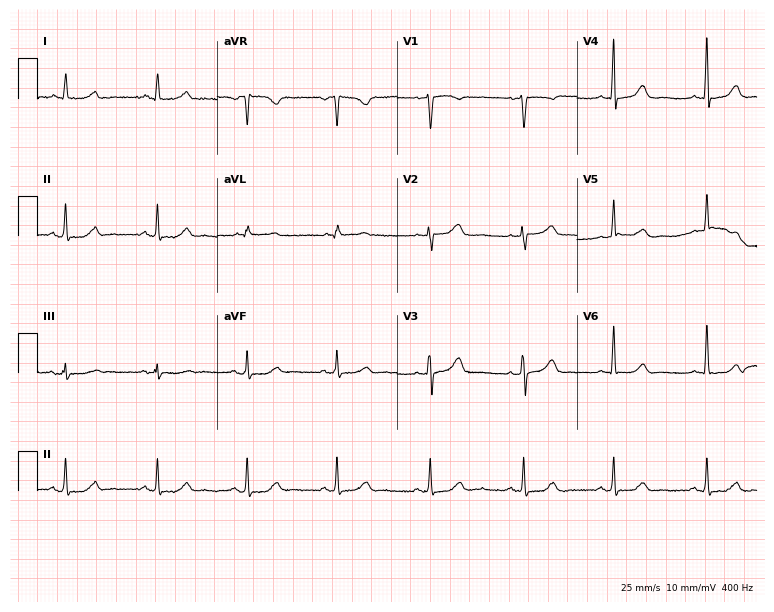
12-lead ECG from a 52-year-old female (7.3-second recording at 400 Hz). Recorded interpretation: within normal limits.